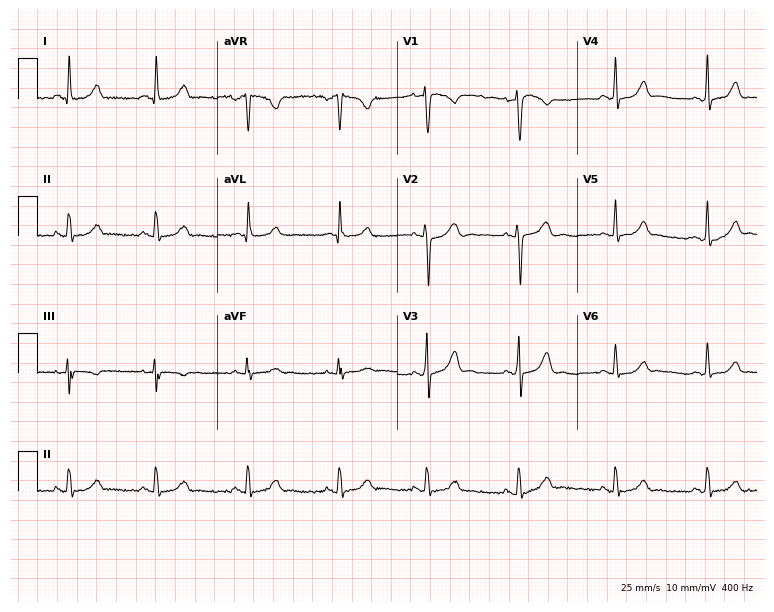
12-lead ECG from a female, 33 years old. No first-degree AV block, right bundle branch block, left bundle branch block, sinus bradycardia, atrial fibrillation or sinus tachycardia recorded for this tracing.